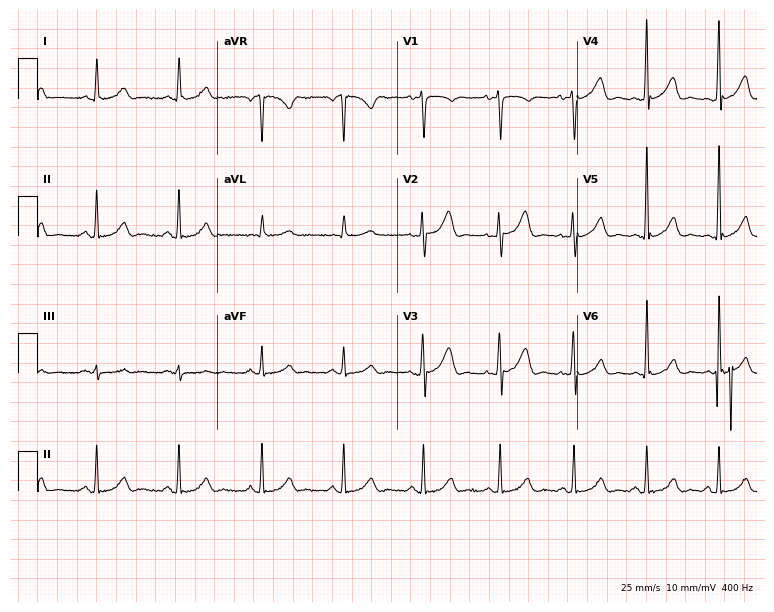
Electrocardiogram (7.3-second recording at 400 Hz), a male, 50 years old. Overall reading on record: normal ECG.